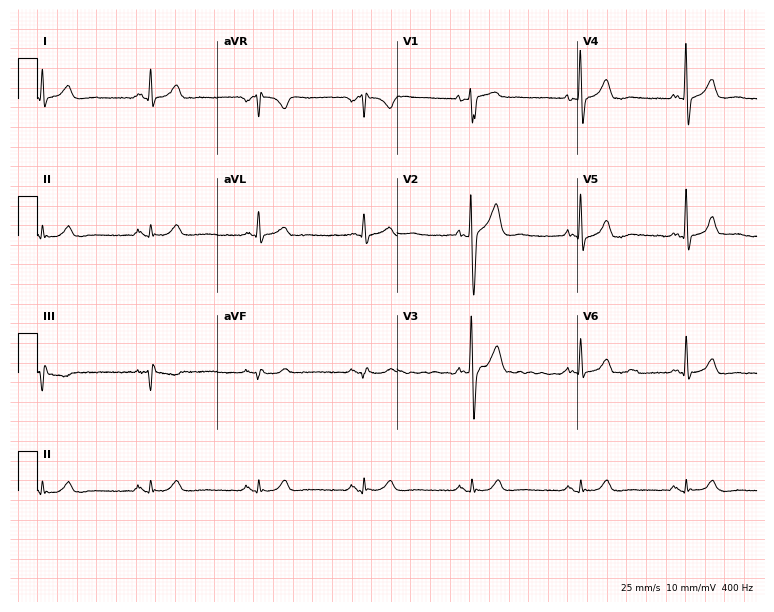
12-lead ECG (7.3-second recording at 400 Hz) from a male, 45 years old. Screened for six findings — first-degree AV block, right bundle branch block, left bundle branch block, sinus bradycardia, atrial fibrillation, sinus tachycardia — none is recorded.